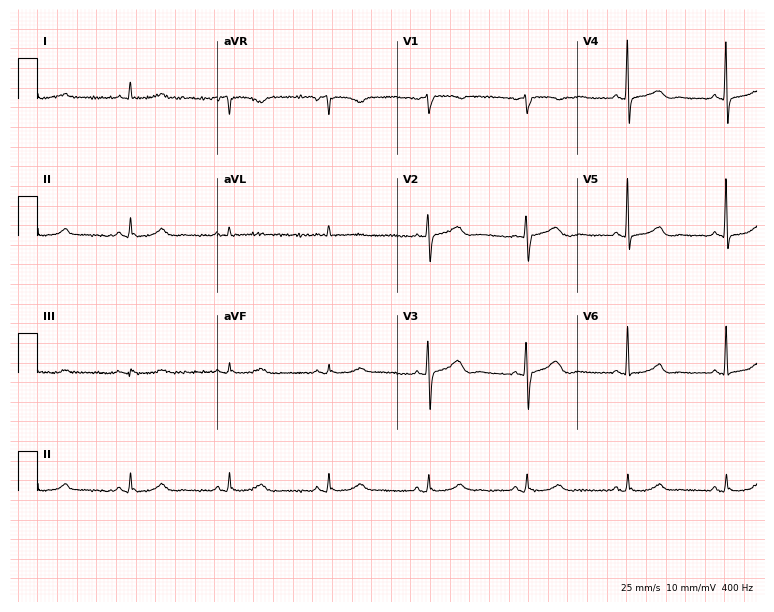
Resting 12-lead electrocardiogram (7.3-second recording at 400 Hz). Patient: a 64-year-old female. Read as a normal ECG.